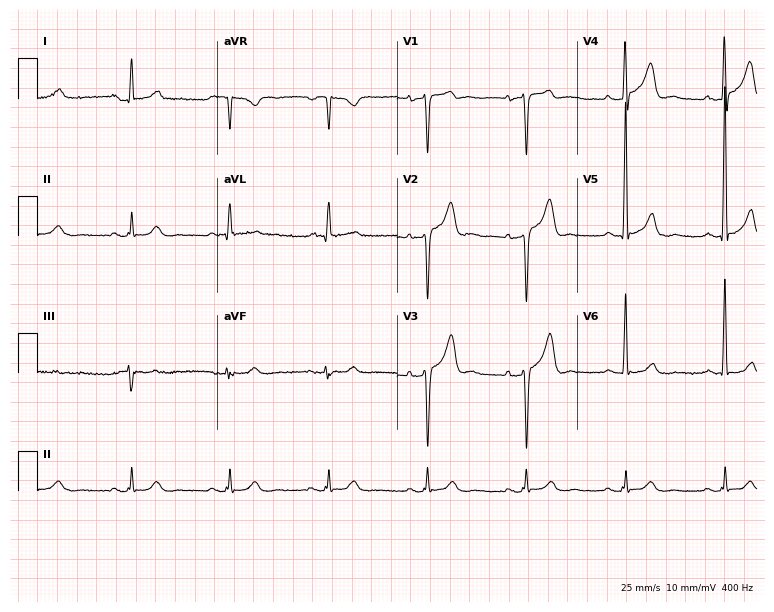
Standard 12-lead ECG recorded from a 66-year-old male (7.3-second recording at 400 Hz). Read as a normal ECG.